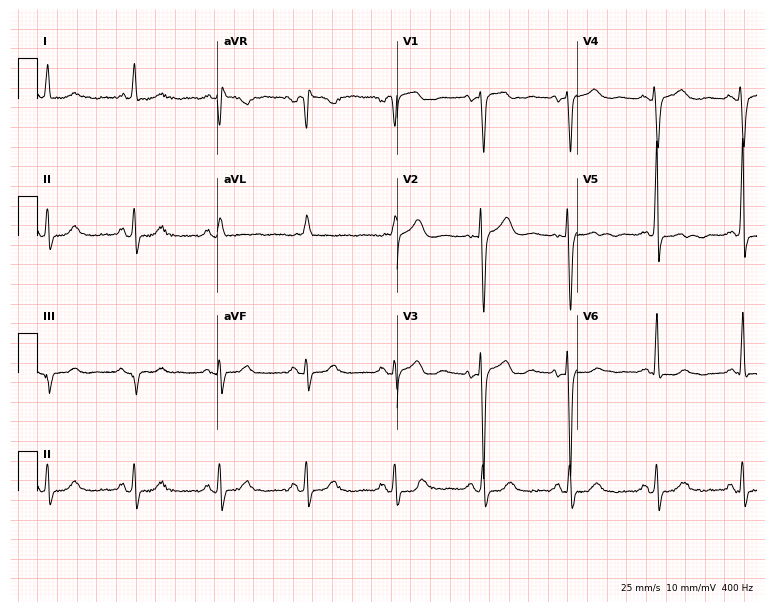
Standard 12-lead ECG recorded from a female, 83 years old. None of these six findings is recorded: first-degree AV block, right bundle branch block (RBBB), left bundle branch block (LBBB), sinus bradycardia, atrial fibrillation (AF), sinus tachycardia.